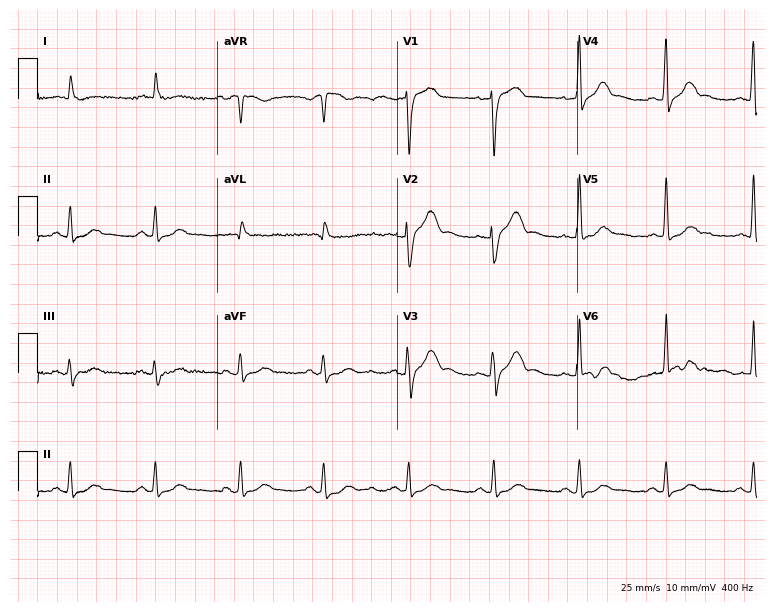
ECG (7.3-second recording at 400 Hz) — a male, 77 years old. Labelled as a normal ECG.